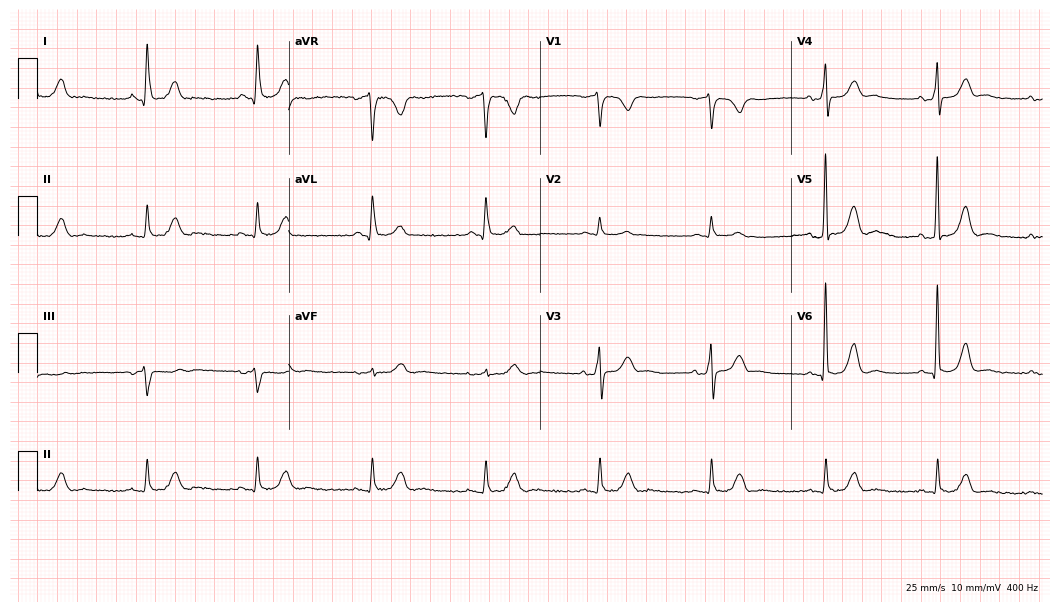
ECG (10.2-second recording at 400 Hz) — a man, 75 years old. Screened for six findings — first-degree AV block, right bundle branch block (RBBB), left bundle branch block (LBBB), sinus bradycardia, atrial fibrillation (AF), sinus tachycardia — none is recorded. Only these six findings were labelled.